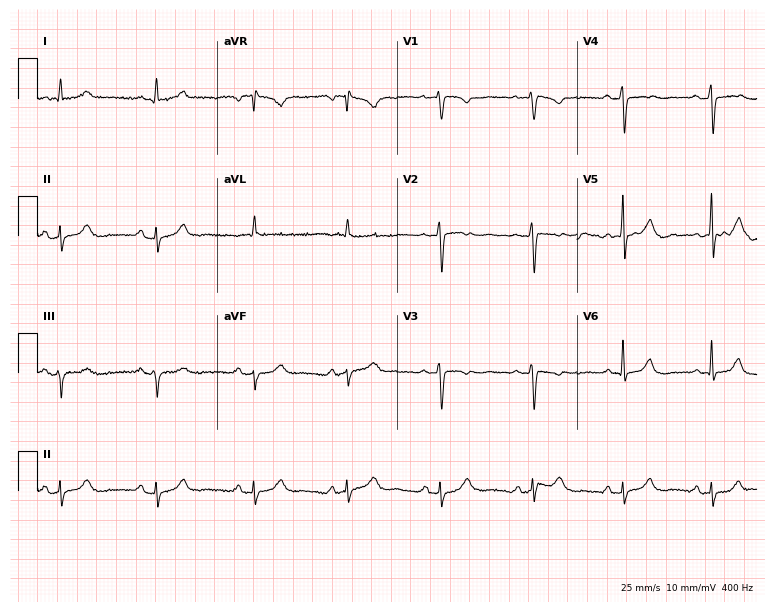
12-lead ECG from a 54-year-old woman. Screened for six findings — first-degree AV block, right bundle branch block, left bundle branch block, sinus bradycardia, atrial fibrillation, sinus tachycardia — none is recorded.